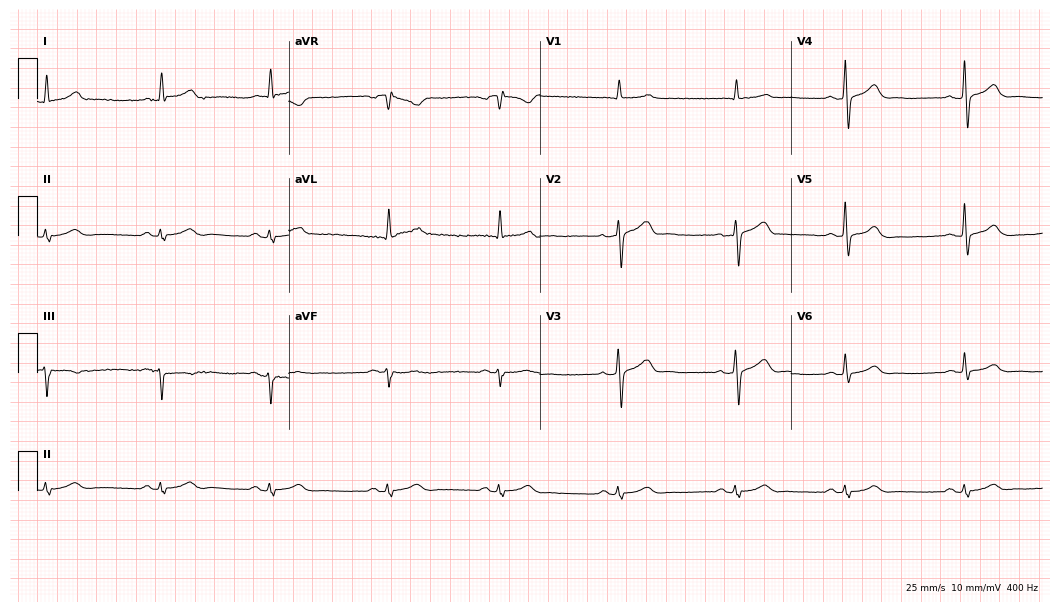
Electrocardiogram, a male, 78 years old. Overall reading on record: normal ECG.